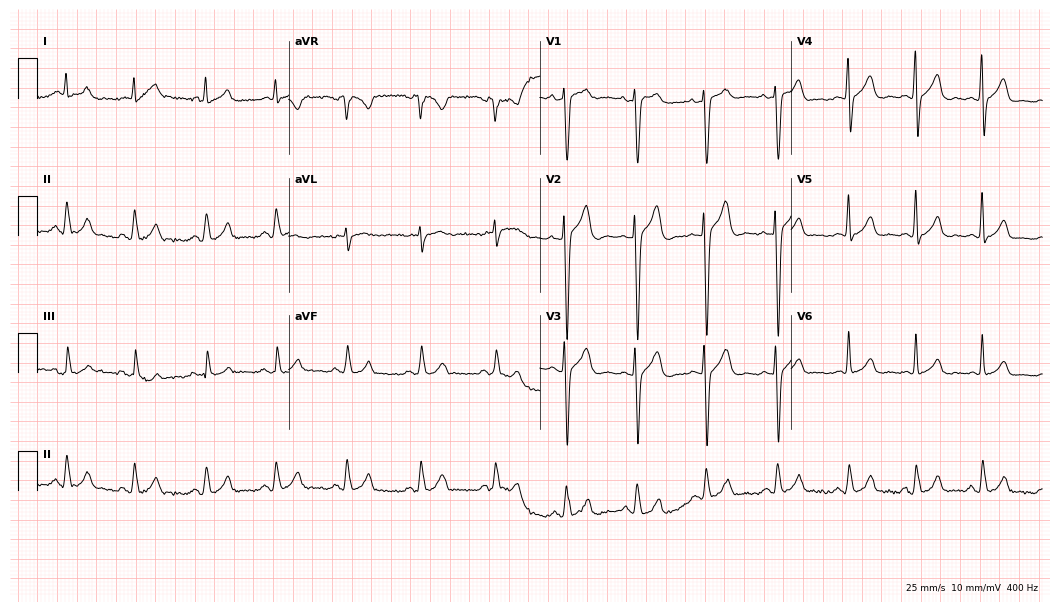
Electrocardiogram, a male, 24 years old. Overall reading on record: normal ECG.